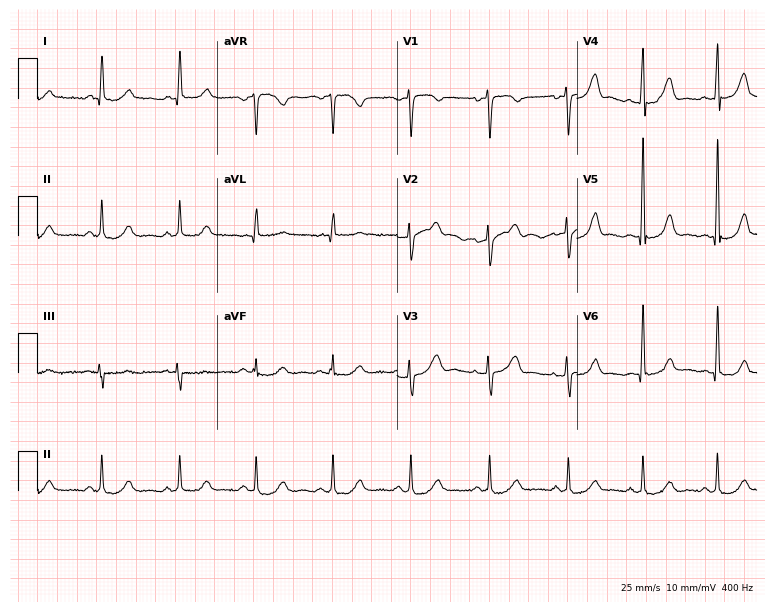
ECG (7.3-second recording at 400 Hz) — a woman, 54 years old. Labelled as a normal ECG.